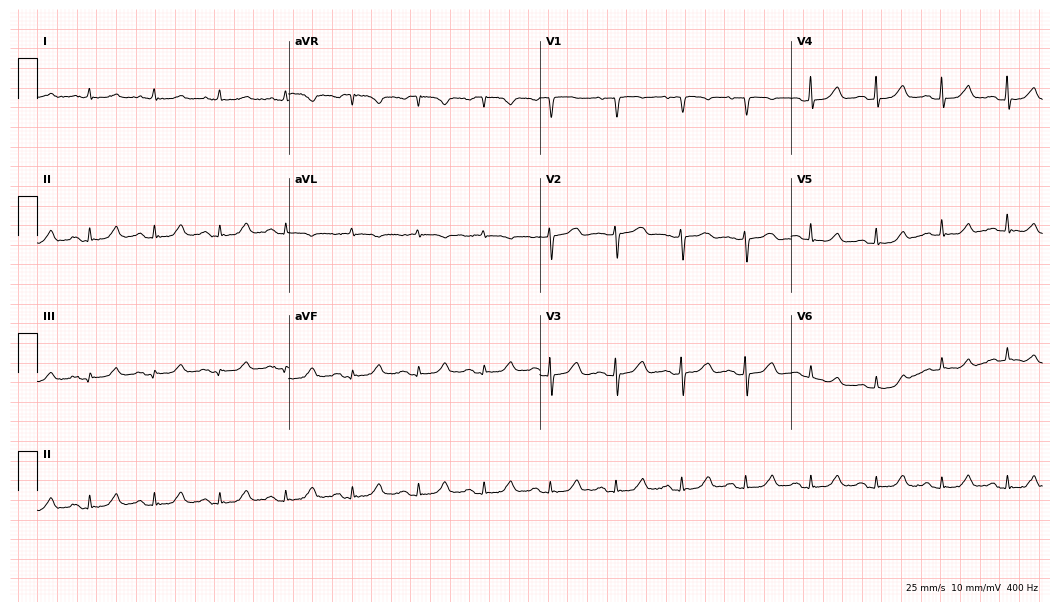
Electrocardiogram (10.2-second recording at 400 Hz), a female, 83 years old. Overall reading on record: normal ECG.